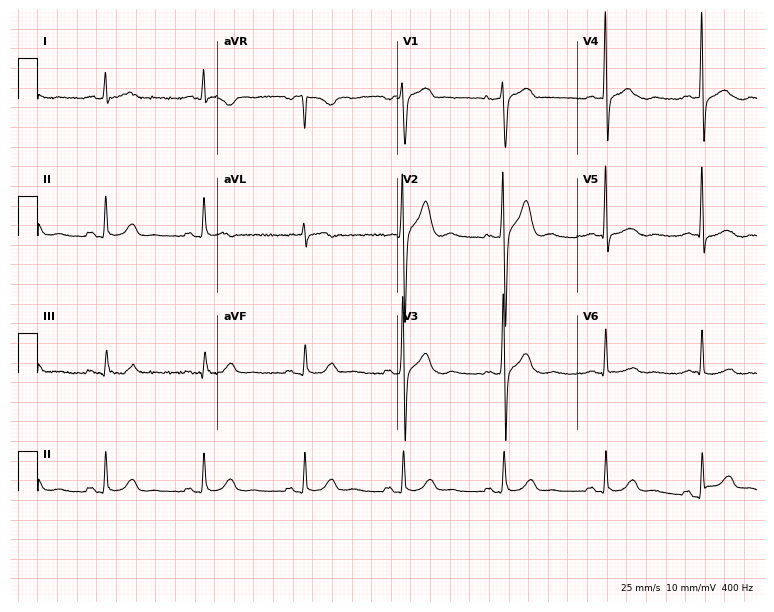
12-lead ECG from a 41-year-old male. Labelled as a normal ECG.